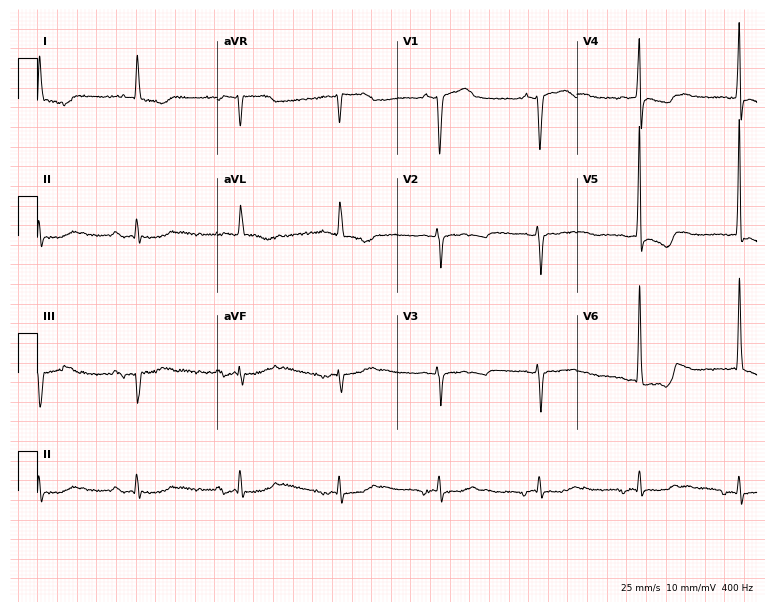
12-lead ECG from a male patient, 76 years old (7.3-second recording at 400 Hz). No first-degree AV block, right bundle branch block (RBBB), left bundle branch block (LBBB), sinus bradycardia, atrial fibrillation (AF) or sinus tachycardia recorded for this tracing.